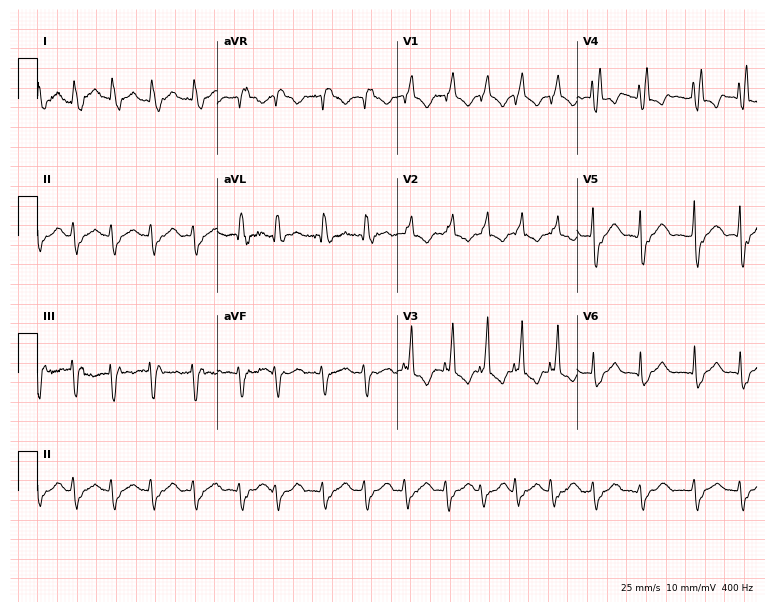
Standard 12-lead ECG recorded from a 75-year-old female patient. The tracing shows right bundle branch block.